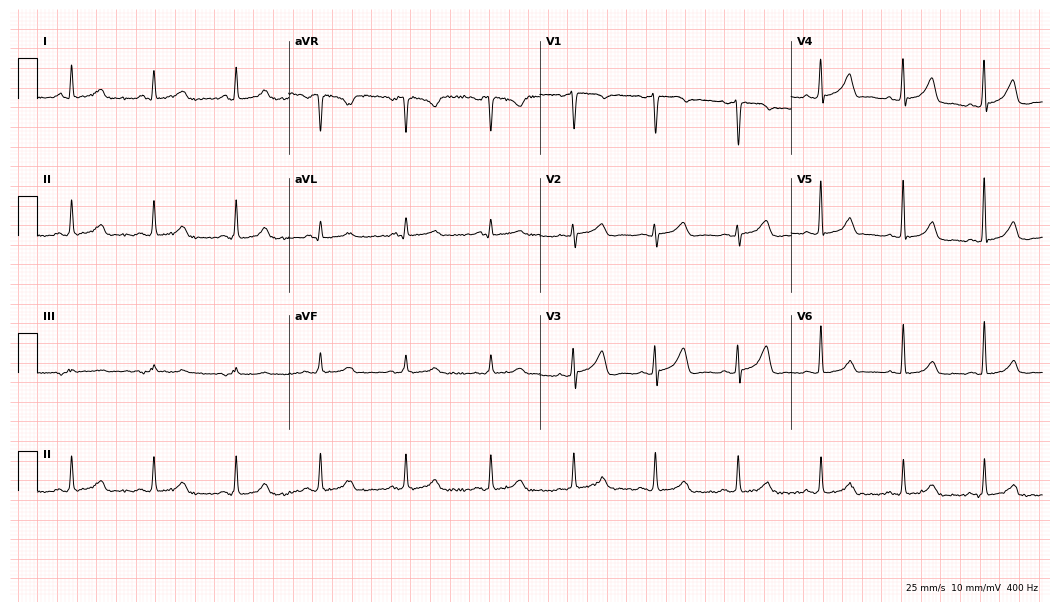
ECG (10.2-second recording at 400 Hz) — a 45-year-old female patient. Labelled as a normal ECG.